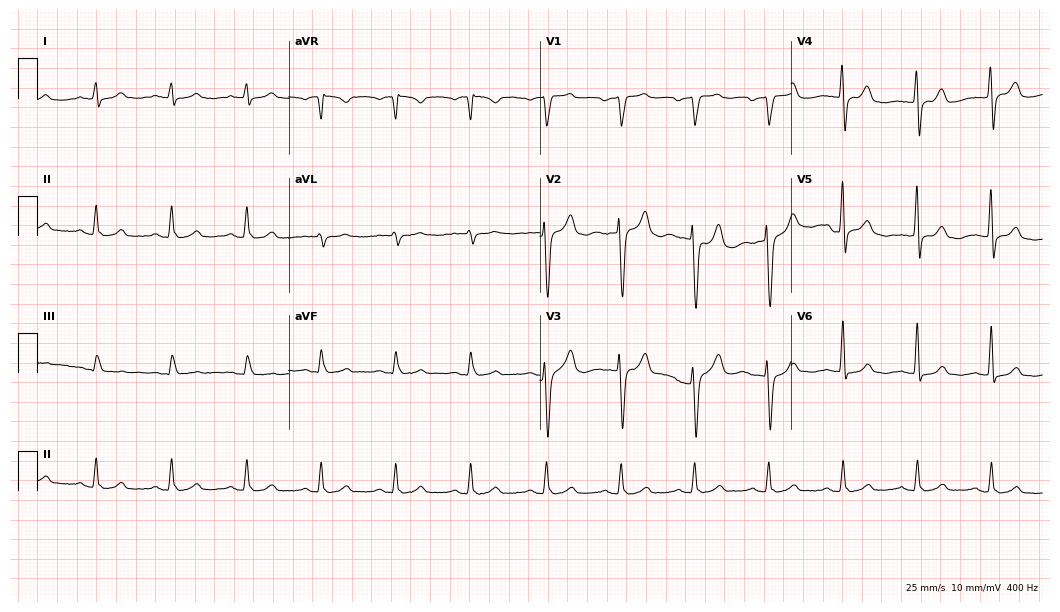
12-lead ECG from a 57-year-old man (10.2-second recording at 400 Hz). No first-degree AV block, right bundle branch block, left bundle branch block, sinus bradycardia, atrial fibrillation or sinus tachycardia recorded for this tracing. Findings outside these six are not listed.